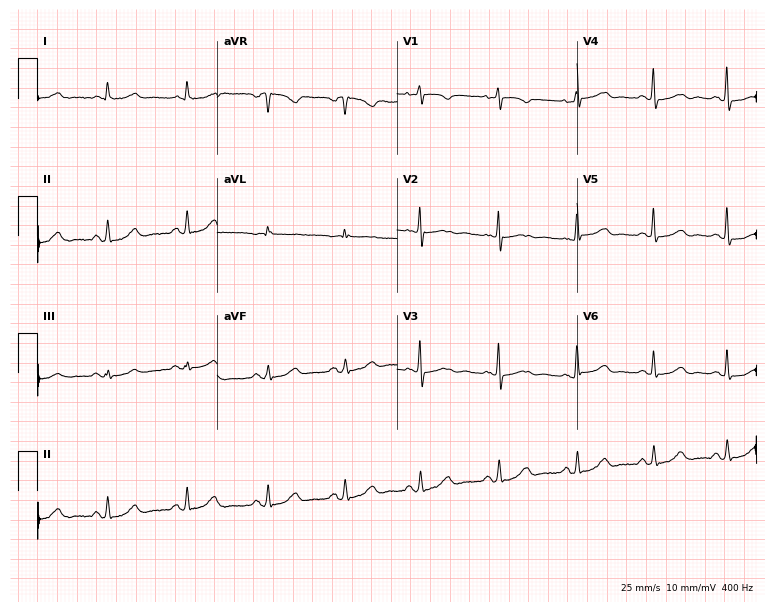
Electrocardiogram (7.3-second recording at 400 Hz), a 78-year-old woman. Of the six screened findings (first-degree AV block, right bundle branch block (RBBB), left bundle branch block (LBBB), sinus bradycardia, atrial fibrillation (AF), sinus tachycardia), none is recorded.